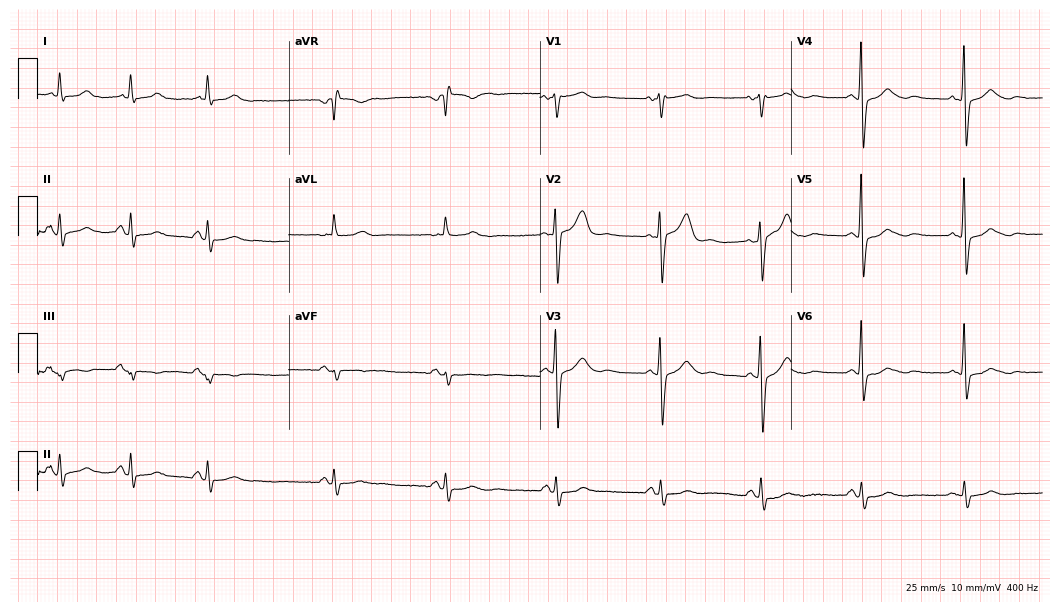
Resting 12-lead electrocardiogram. Patient: a male, 73 years old. None of these six findings is recorded: first-degree AV block, right bundle branch block, left bundle branch block, sinus bradycardia, atrial fibrillation, sinus tachycardia. Other findings, if any, are not listed.